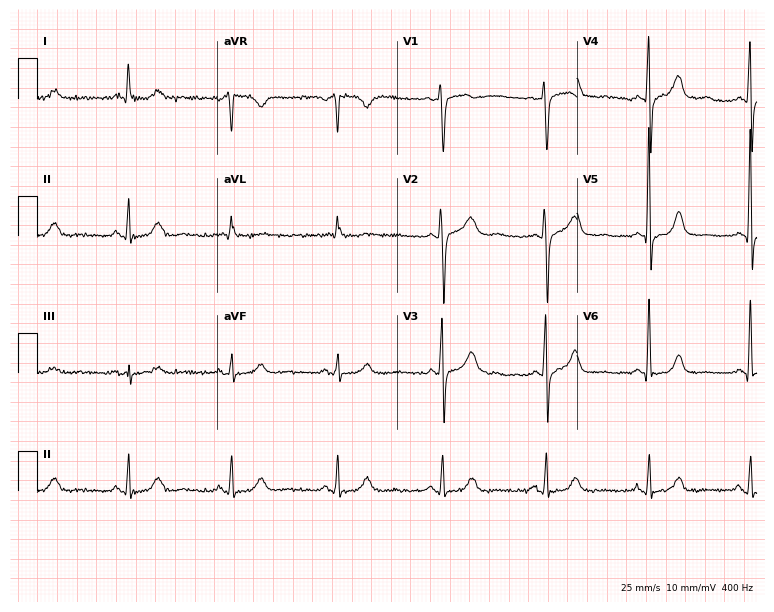
Resting 12-lead electrocardiogram (7.3-second recording at 400 Hz). Patient: a 65-year-old female. None of these six findings is recorded: first-degree AV block, right bundle branch block (RBBB), left bundle branch block (LBBB), sinus bradycardia, atrial fibrillation (AF), sinus tachycardia.